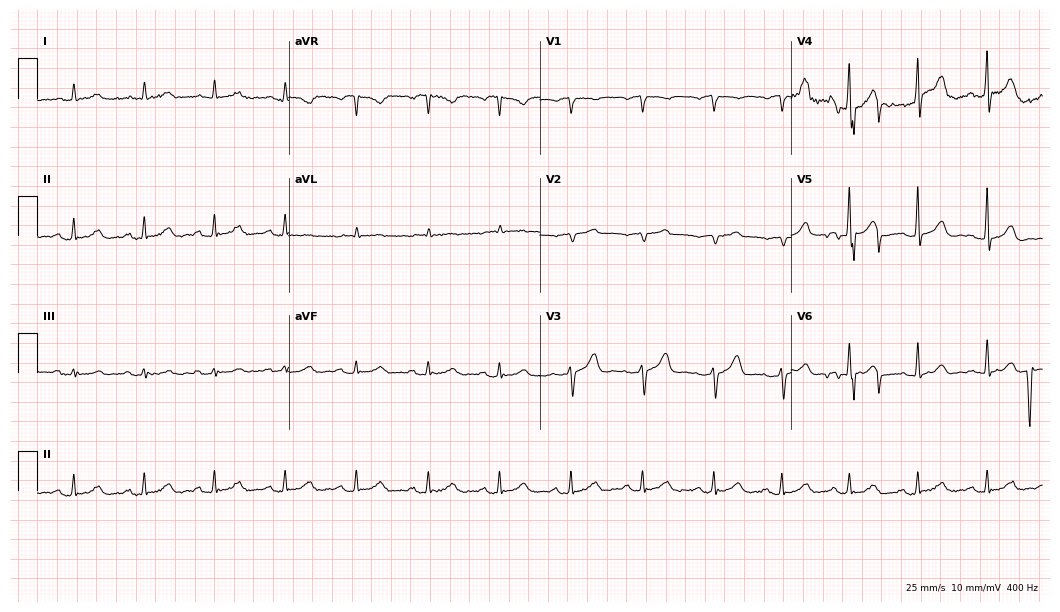
Resting 12-lead electrocardiogram (10.2-second recording at 400 Hz). Patient: a 78-year-old male. None of these six findings is recorded: first-degree AV block, right bundle branch block, left bundle branch block, sinus bradycardia, atrial fibrillation, sinus tachycardia. Only these six findings were labelled.